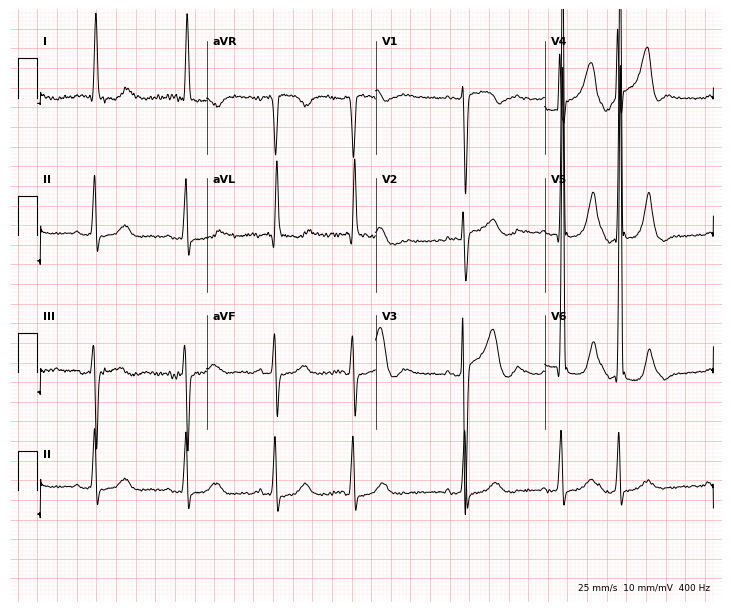
Electrocardiogram, an 80-year-old male. Of the six screened findings (first-degree AV block, right bundle branch block, left bundle branch block, sinus bradycardia, atrial fibrillation, sinus tachycardia), none is recorded. Findings outside these six are not listed.